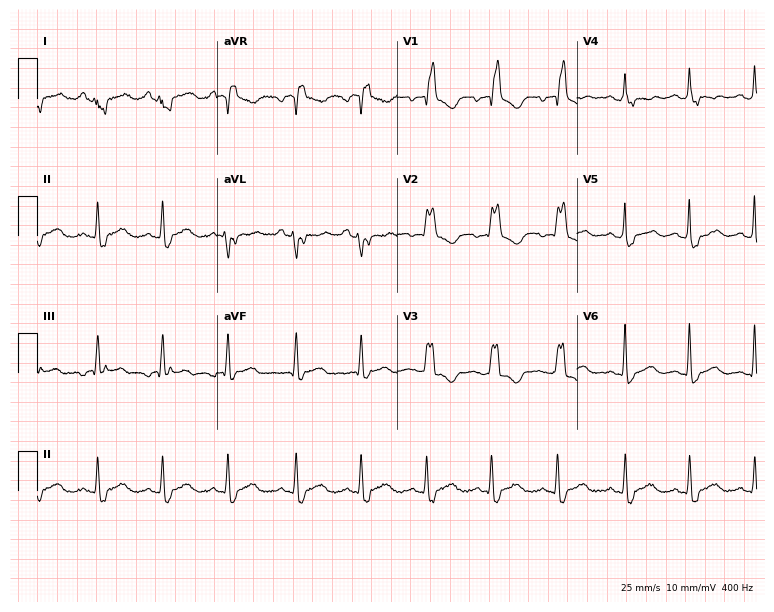
Resting 12-lead electrocardiogram (7.3-second recording at 400 Hz). Patient: a 64-year-old female. The tracing shows right bundle branch block (RBBB).